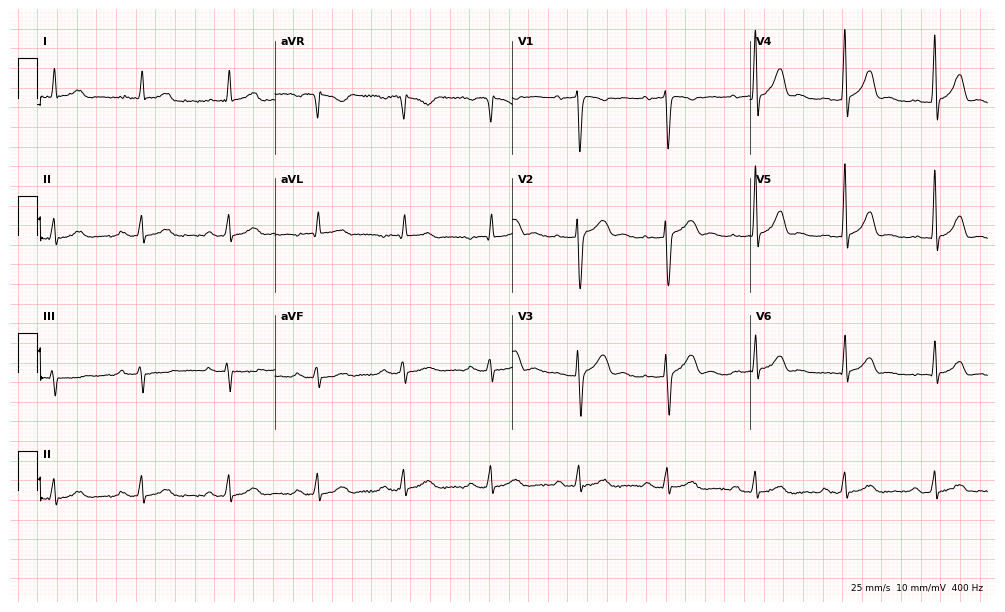
Standard 12-lead ECG recorded from a female patient, 78 years old (9.7-second recording at 400 Hz). Read as a normal ECG.